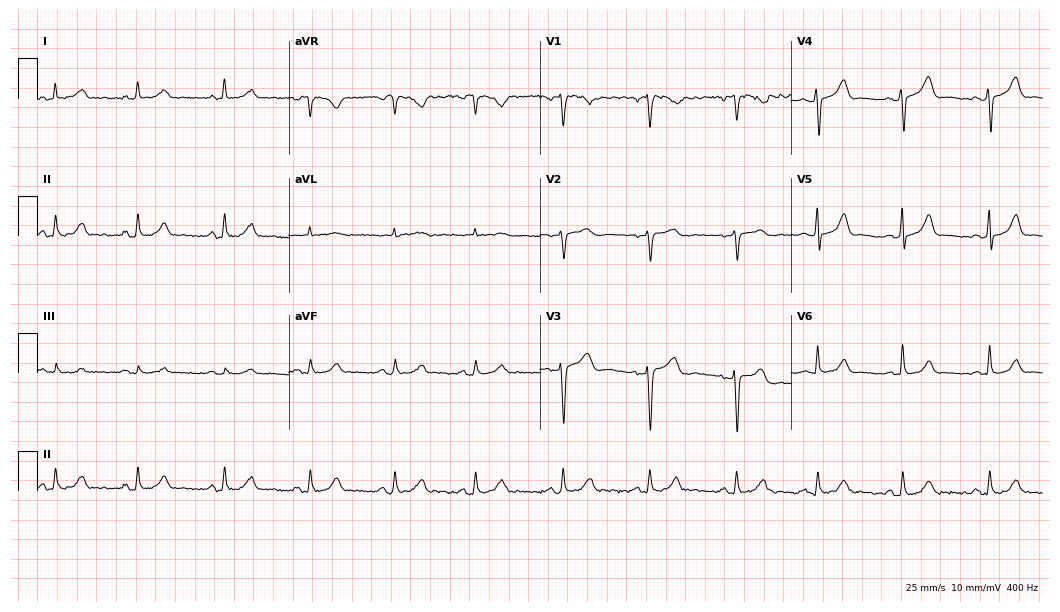
ECG (10.2-second recording at 400 Hz) — a woman, 45 years old. Labelled as a normal ECG.